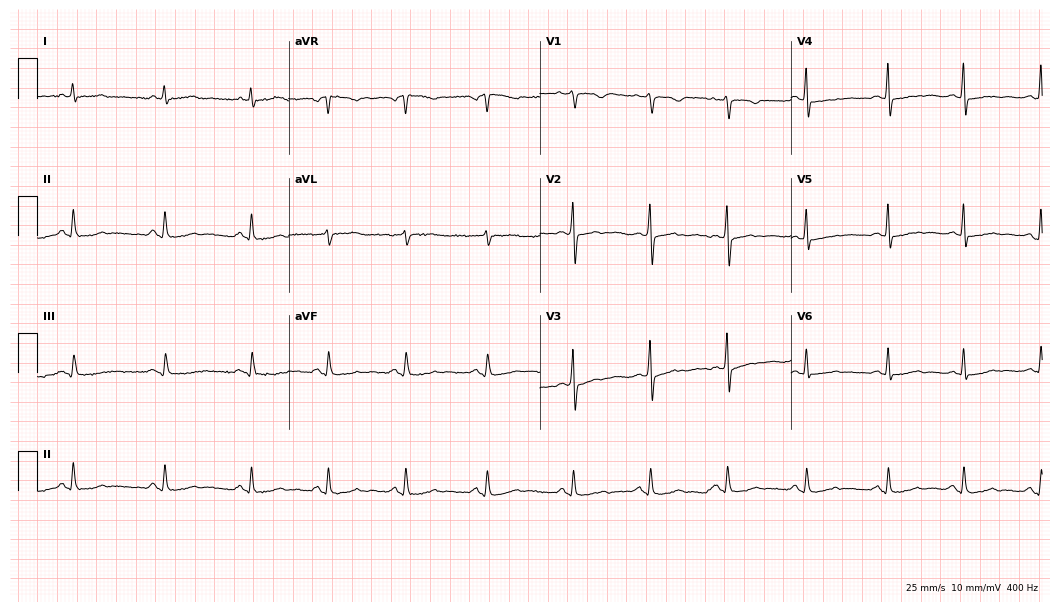
Electrocardiogram, a 44-year-old woman. Of the six screened findings (first-degree AV block, right bundle branch block (RBBB), left bundle branch block (LBBB), sinus bradycardia, atrial fibrillation (AF), sinus tachycardia), none is recorded.